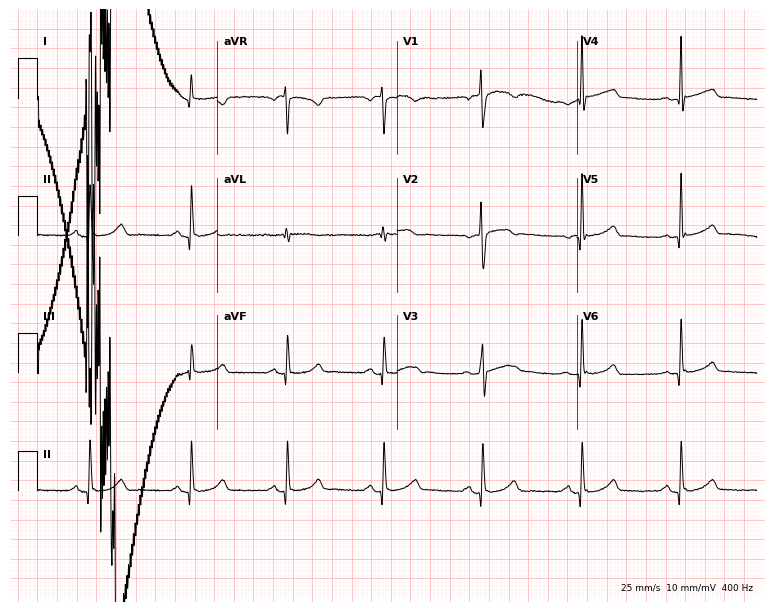
Resting 12-lead electrocardiogram. Patient: a 48-year-old male. Read as a normal ECG.